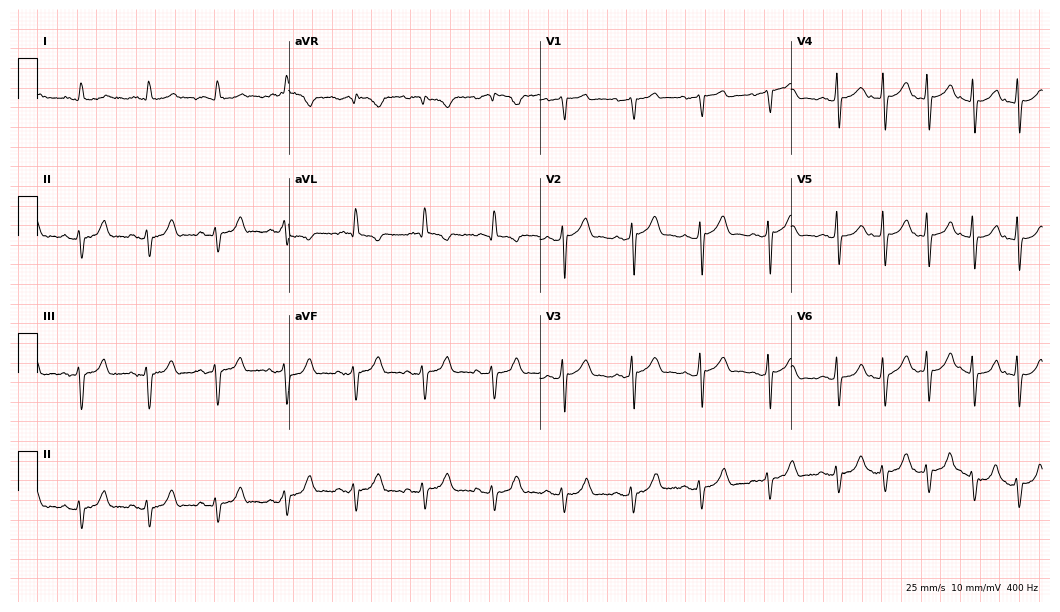
12-lead ECG from a 77-year-old male patient. Screened for six findings — first-degree AV block, right bundle branch block (RBBB), left bundle branch block (LBBB), sinus bradycardia, atrial fibrillation (AF), sinus tachycardia — none is recorded. Findings outside these six are not listed.